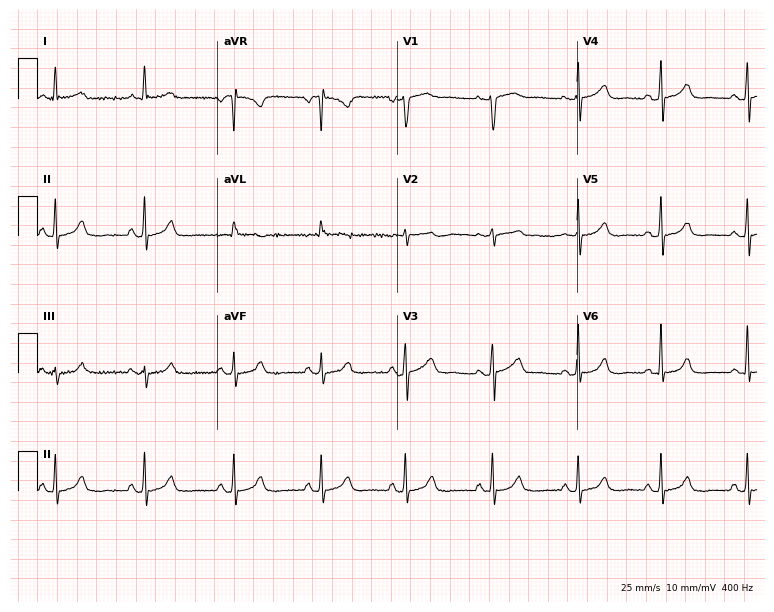
12-lead ECG from a 49-year-old female. Labelled as a normal ECG.